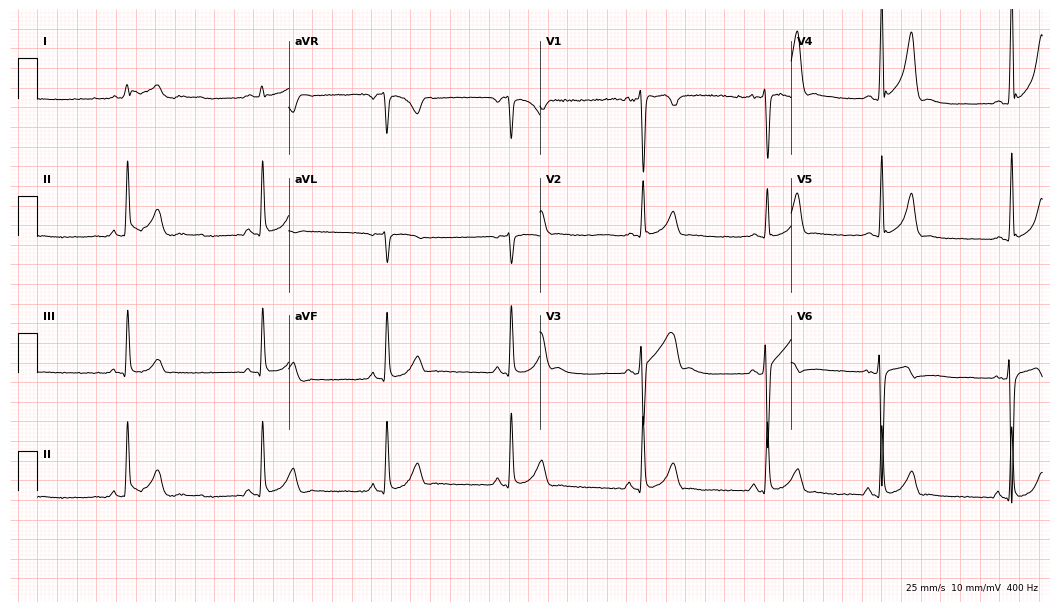
12-lead ECG from a male patient, 19 years old. Shows sinus bradycardia (a sinus rate of 50 beats per minute or less).